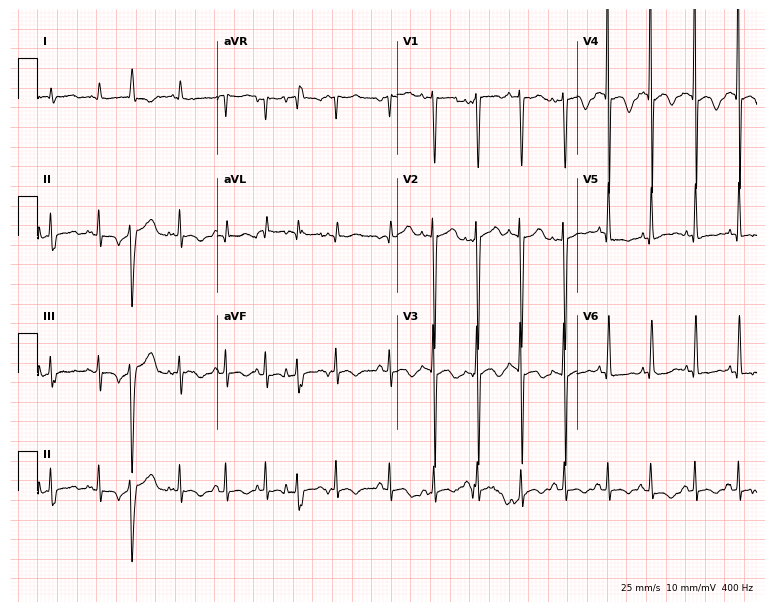
12-lead ECG from an 84-year-old woman. No first-degree AV block, right bundle branch block, left bundle branch block, sinus bradycardia, atrial fibrillation or sinus tachycardia recorded for this tracing.